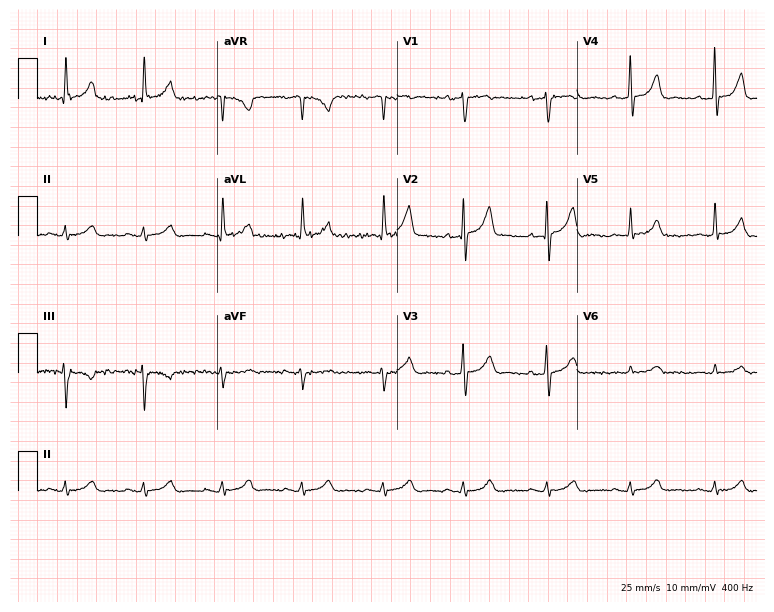
ECG — an 80-year-old man. Screened for six findings — first-degree AV block, right bundle branch block, left bundle branch block, sinus bradycardia, atrial fibrillation, sinus tachycardia — none is recorded.